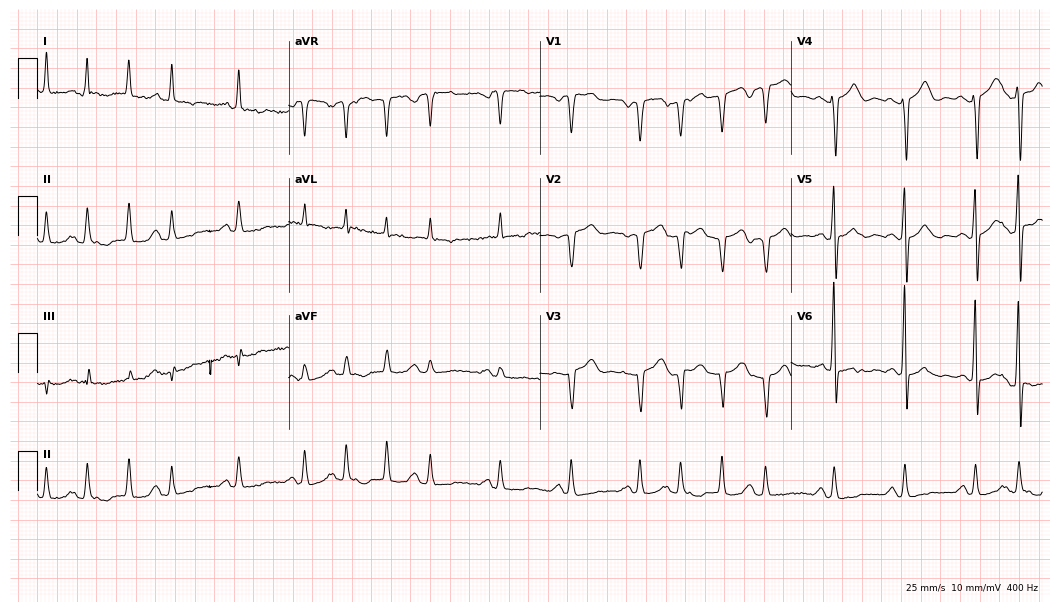
ECG (10.2-second recording at 400 Hz) — a woman, 84 years old. Screened for six findings — first-degree AV block, right bundle branch block (RBBB), left bundle branch block (LBBB), sinus bradycardia, atrial fibrillation (AF), sinus tachycardia — none is recorded. Other findings, if any, are not listed.